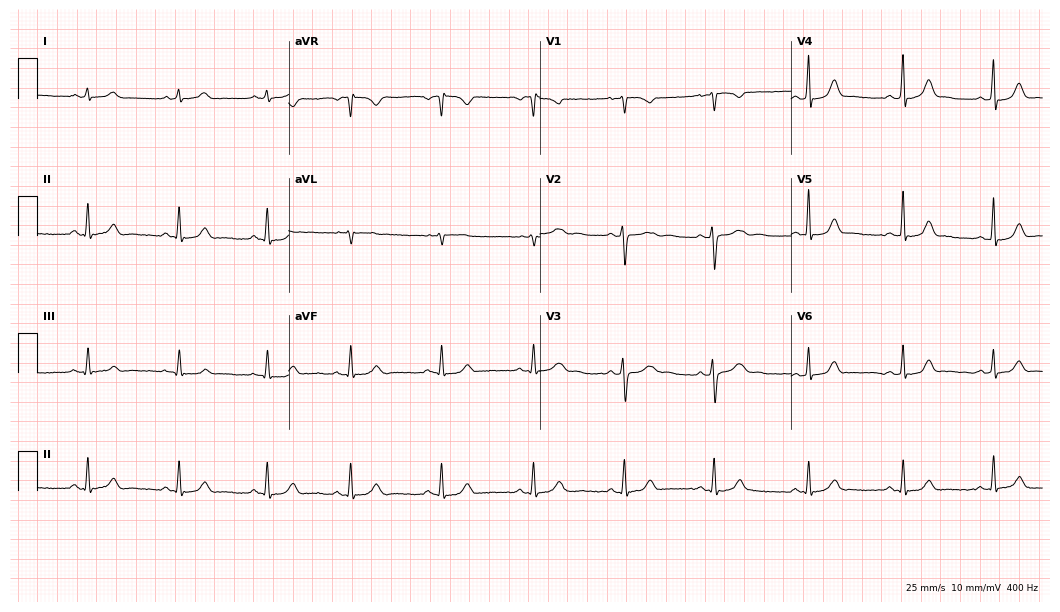
Electrocardiogram, a 27-year-old female. Overall reading on record: normal ECG.